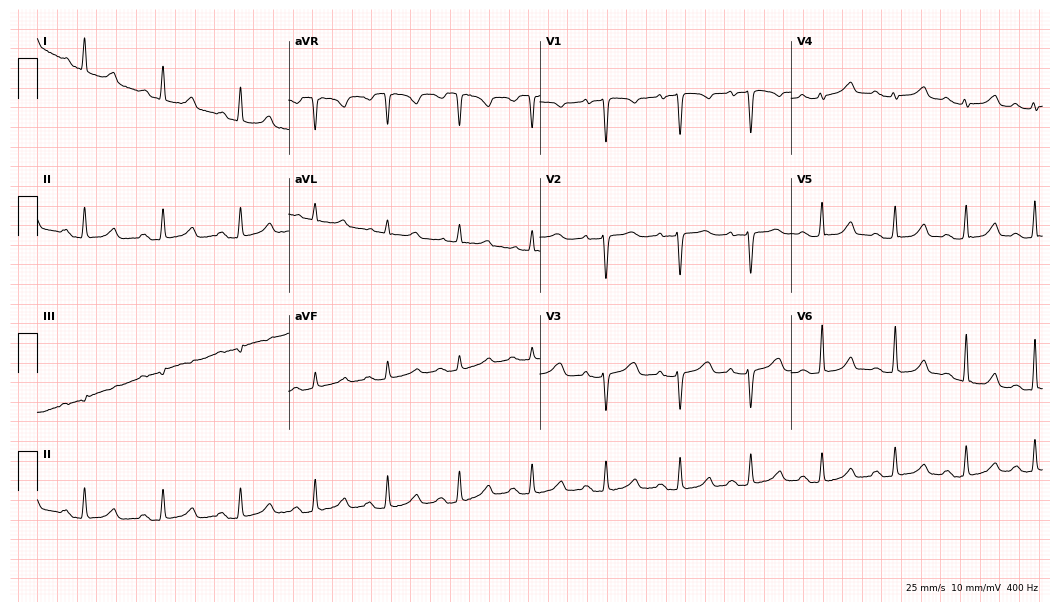
Electrocardiogram, a female patient, 32 years old. Interpretation includes first-degree AV block.